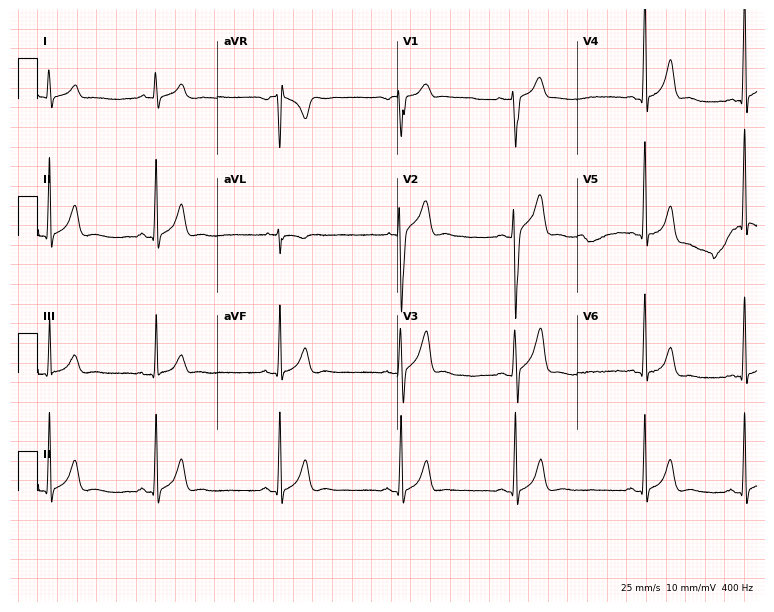
12-lead ECG from a man, 17 years old. Recorded interpretation: within normal limits.